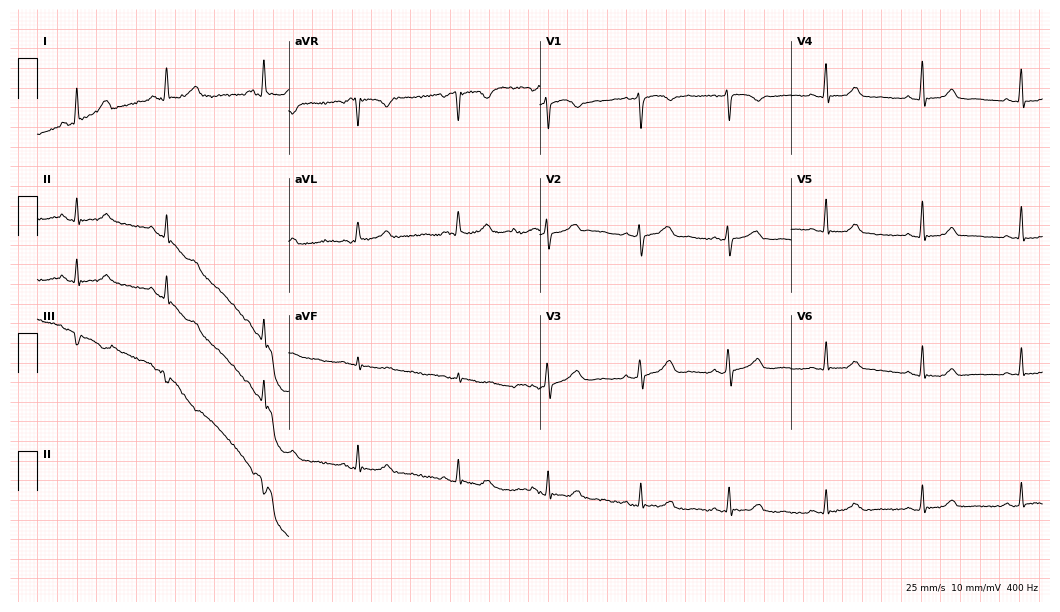
12-lead ECG from a 51-year-old female. Labelled as a normal ECG.